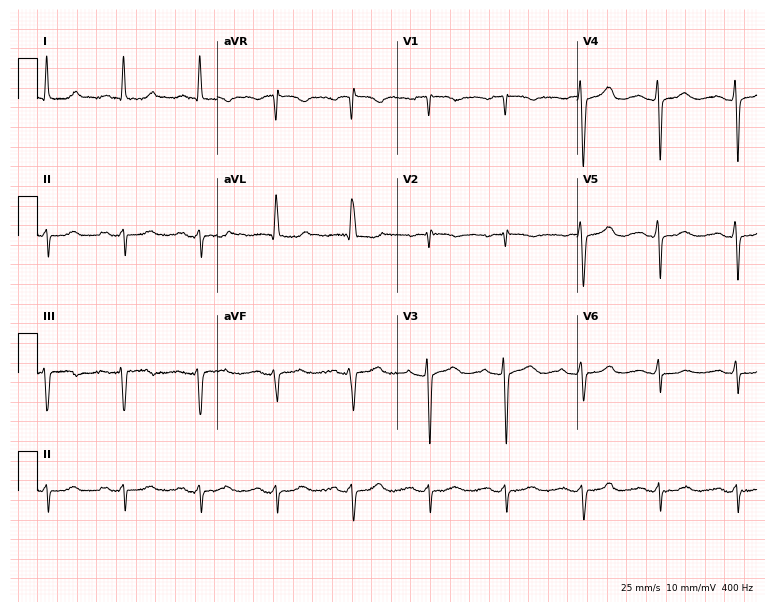
Standard 12-lead ECG recorded from a female patient, 76 years old. None of these six findings is recorded: first-degree AV block, right bundle branch block, left bundle branch block, sinus bradycardia, atrial fibrillation, sinus tachycardia. Other findings, if any, are not listed.